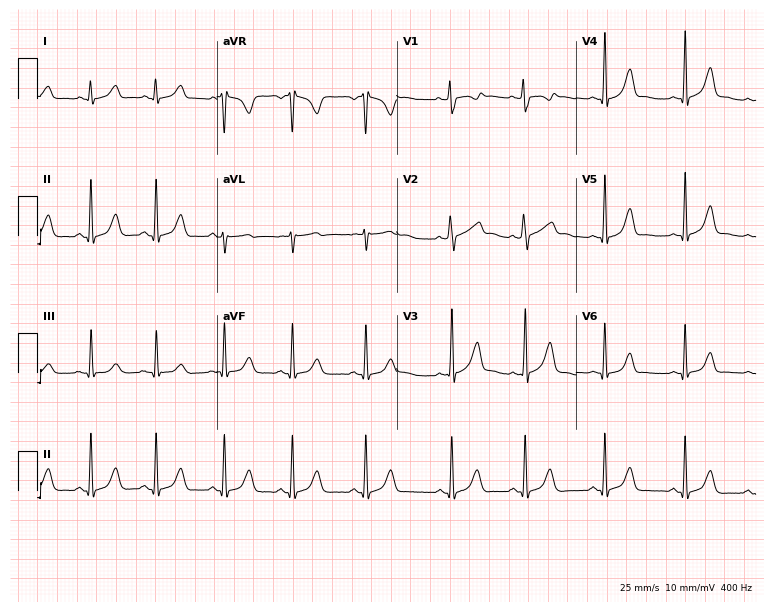
Standard 12-lead ECG recorded from a female patient, 17 years old. None of these six findings is recorded: first-degree AV block, right bundle branch block, left bundle branch block, sinus bradycardia, atrial fibrillation, sinus tachycardia. Findings outside these six are not listed.